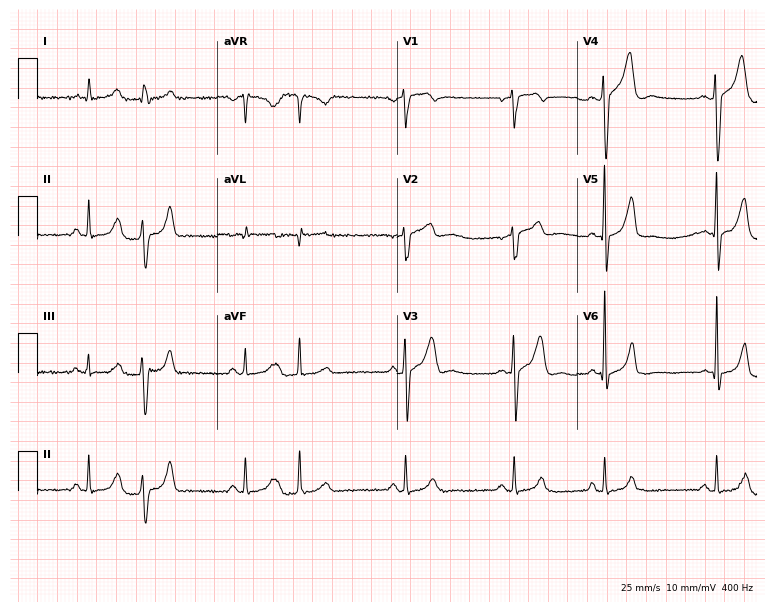
12-lead ECG from a male, 60 years old (7.3-second recording at 400 Hz). No first-degree AV block, right bundle branch block, left bundle branch block, sinus bradycardia, atrial fibrillation or sinus tachycardia recorded for this tracing.